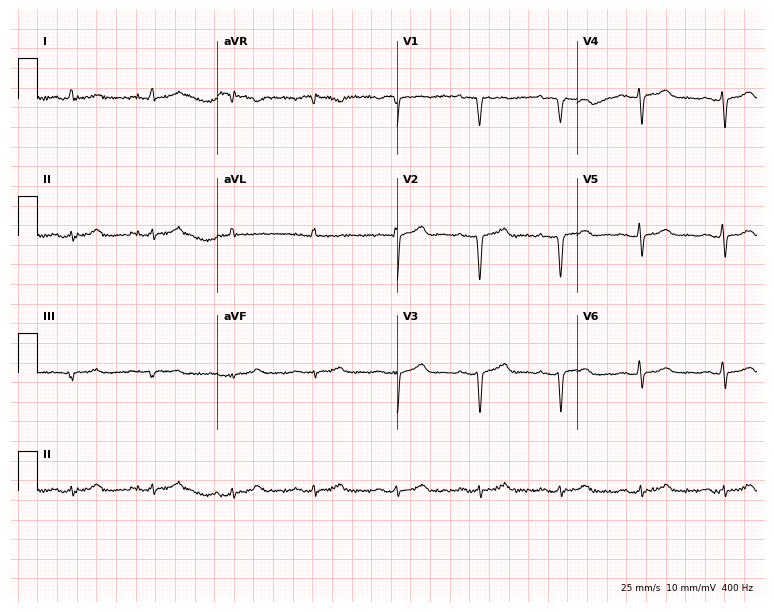
ECG — a 62-year-old man. Screened for six findings — first-degree AV block, right bundle branch block (RBBB), left bundle branch block (LBBB), sinus bradycardia, atrial fibrillation (AF), sinus tachycardia — none is recorded. Only these six findings were labelled.